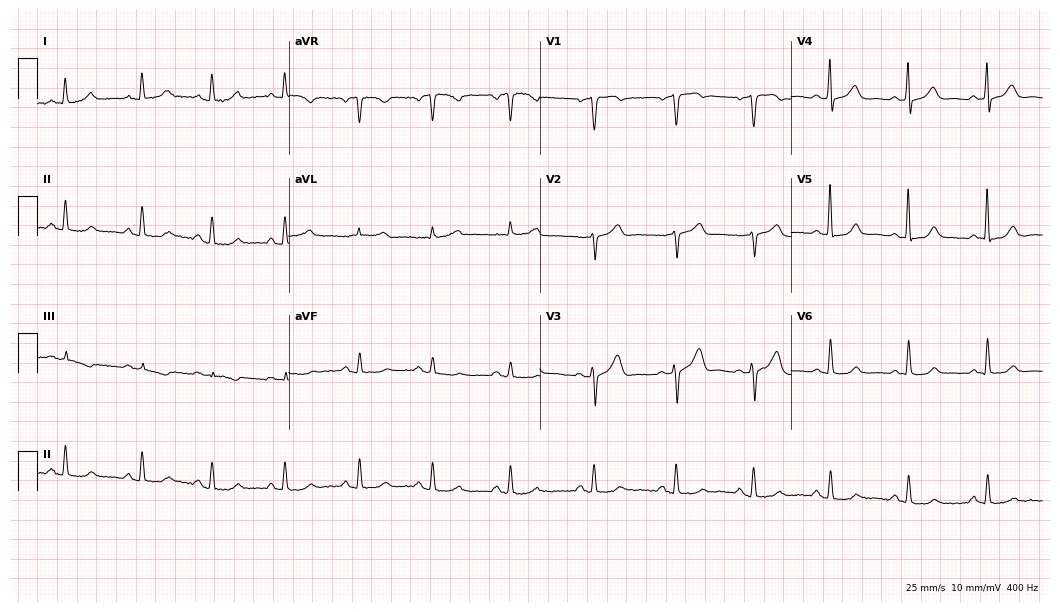
Resting 12-lead electrocardiogram. Patient: a 59-year-old male. Read as a normal ECG.